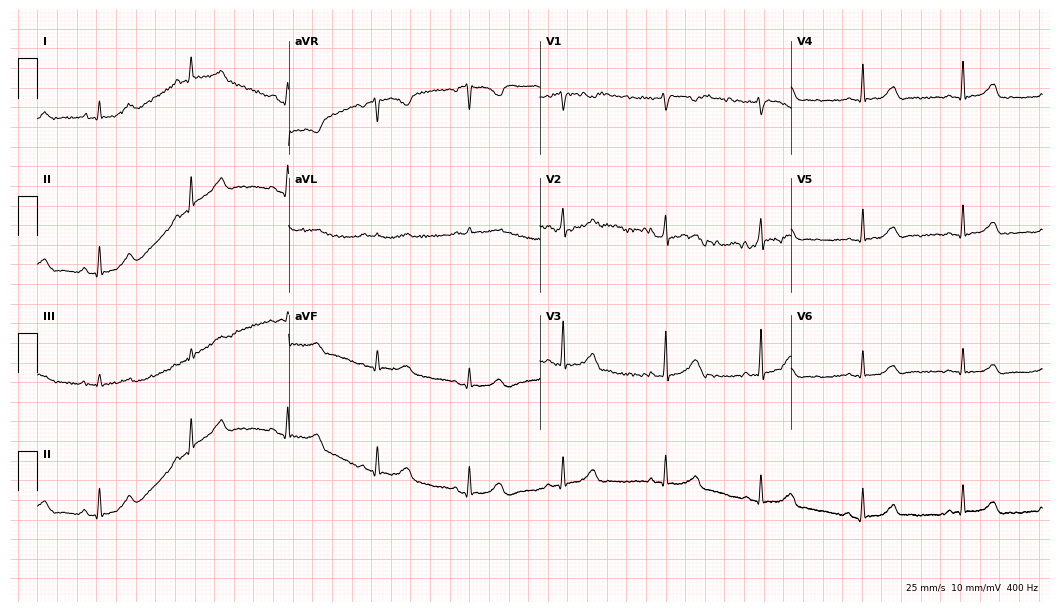
Standard 12-lead ECG recorded from a 32-year-old woman. Read as a normal ECG.